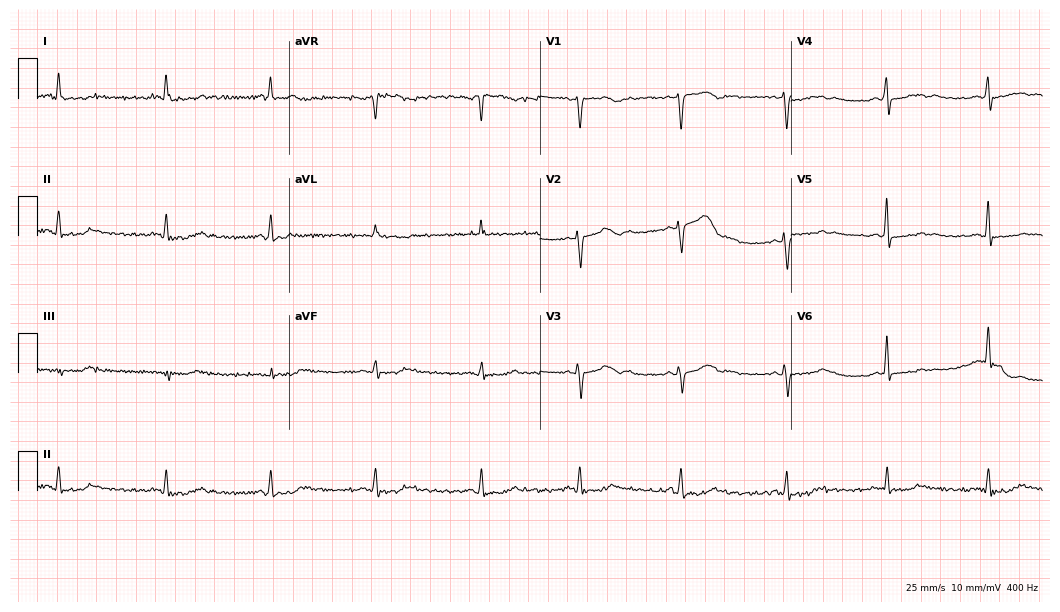
Resting 12-lead electrocardiogram (10.2-second recording at 400 Hz). Patient: a female, 53 years old. None of these six findings is recorded: first-degree AV block, right bundle branch block, left bundle branch block, sinus bradycardia, atrial fibrillation, sinus tachycardia.